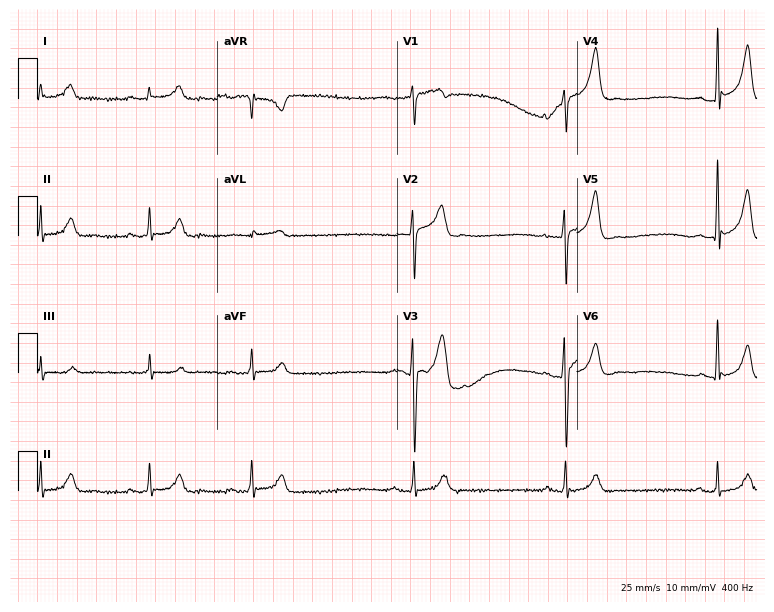
ECG (7.3-second recording at 400 Hz) — a 37-year-old male. Findings include sinus bradycardia (a sinus rate of 50 beats per minute or less).